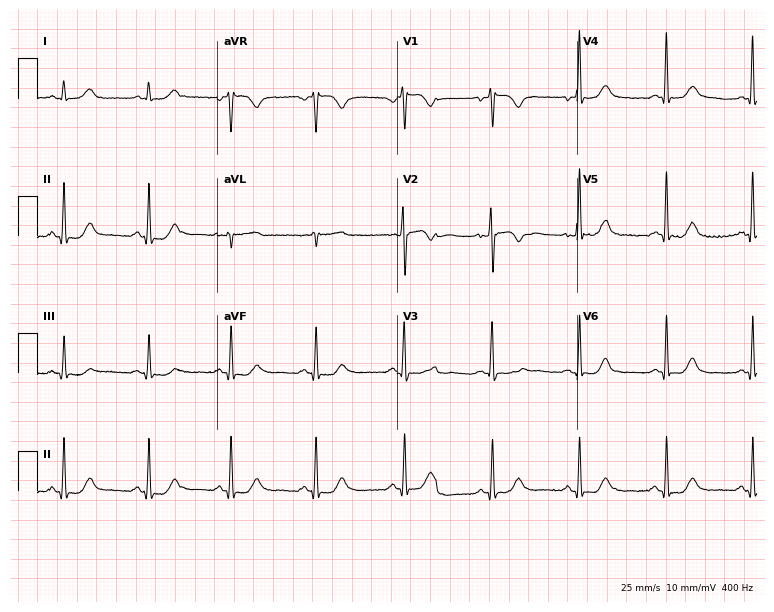
Electrocardiogram (7.3-second recording at 400 Hz), a female, 47 years old. Of the six screened findings (first-degree AV block, right bundle branch block (RBBB), left bundle branch block (LBBB), sinus bradycardia, atrial fibrillation (AF), sinus tachycardia), none is recorded.